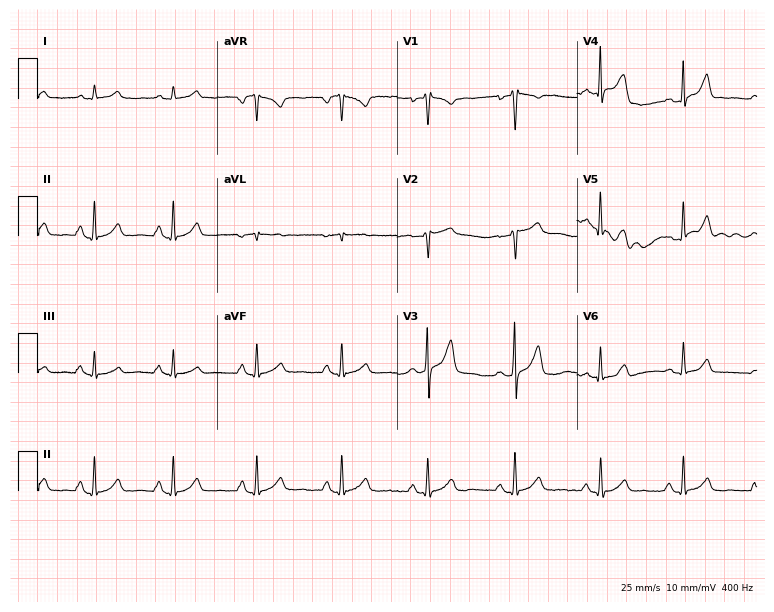
Resting 12-lead electrocardiogram. Patient: a 43-year-old female. None of these six findings is recorded: first-degree AV block, right bundle branch block, left bundle branch block, sinus bradycardia, atrial fibrillation, sinus tachycardia. Other findings, if any, are not listed.